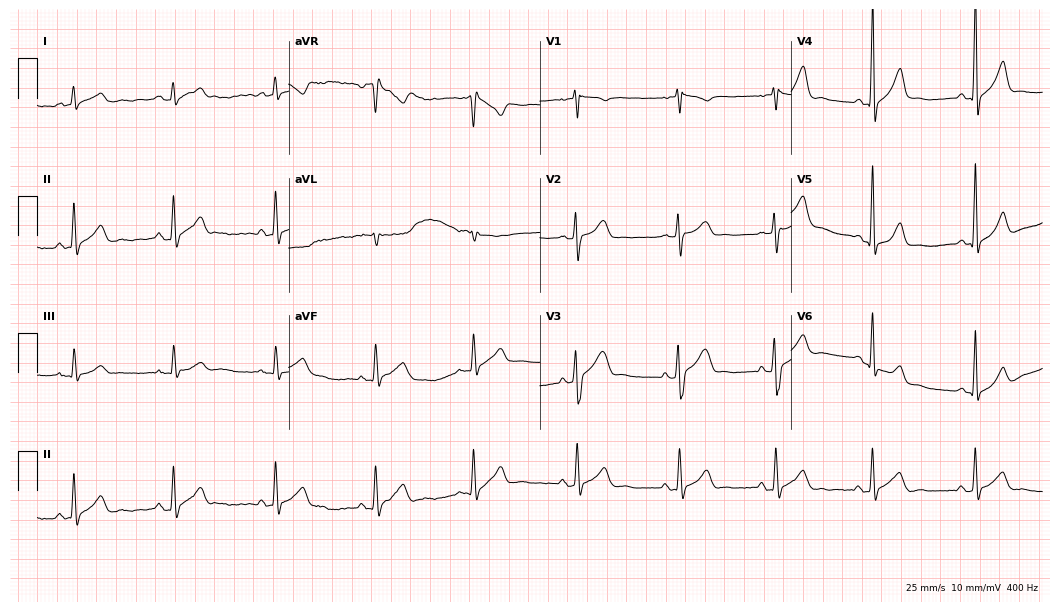
ECG (10.2-second recording at 400 Hz) — a male patient, 35 years old. Labelled as a normal ECG.